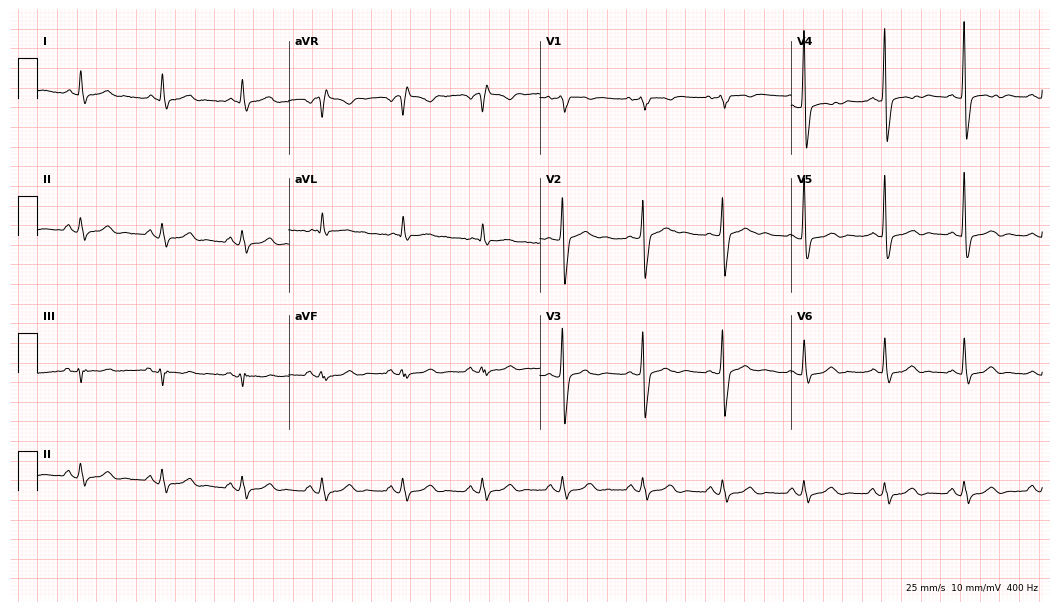
ECG — a 54-year-old male patient. Screened for six findings — first-degree AV block, right bundle branch block, left bundle branch block, sinus bradycardia, atrial fibrillation, sinus tachycardia — none is recorded.